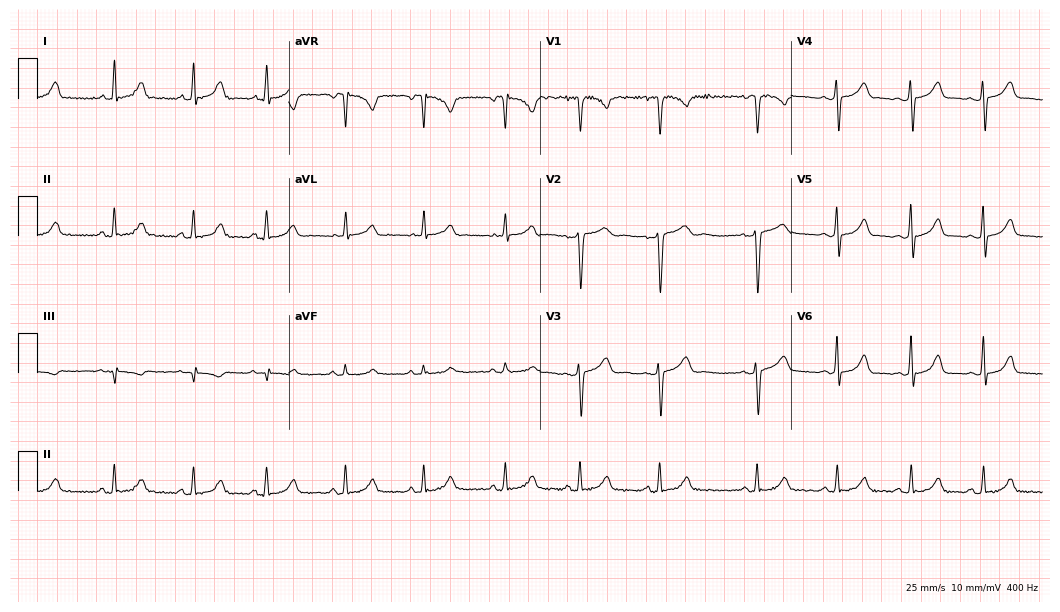
12-lead ECG from a female, 32 years old. Labelled as a normal ECG.